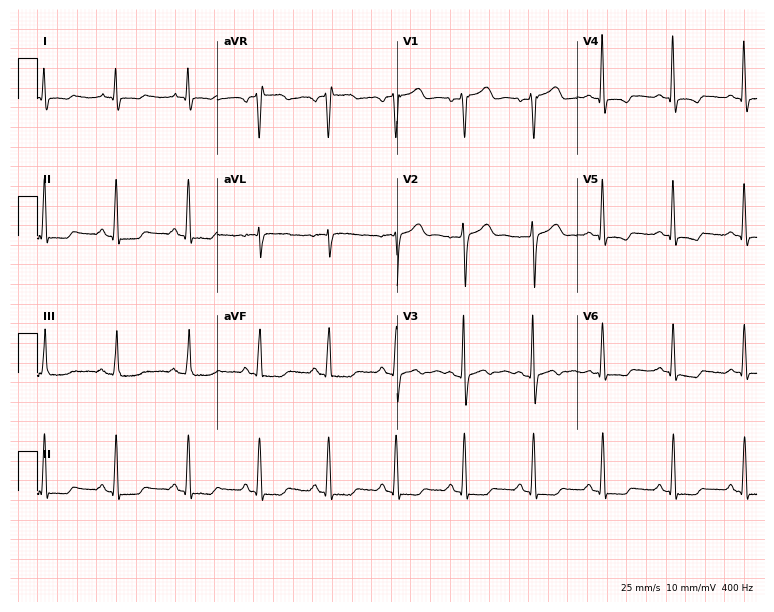
Resting 12-lead electrocardiogram. Patient: a 57-year-old female. None of these six findings is recorded: first-degree AV block, right bundle branch block, left bundle branch block, sinus bradycardia, atrial fibrillation, sinus tachycardia.